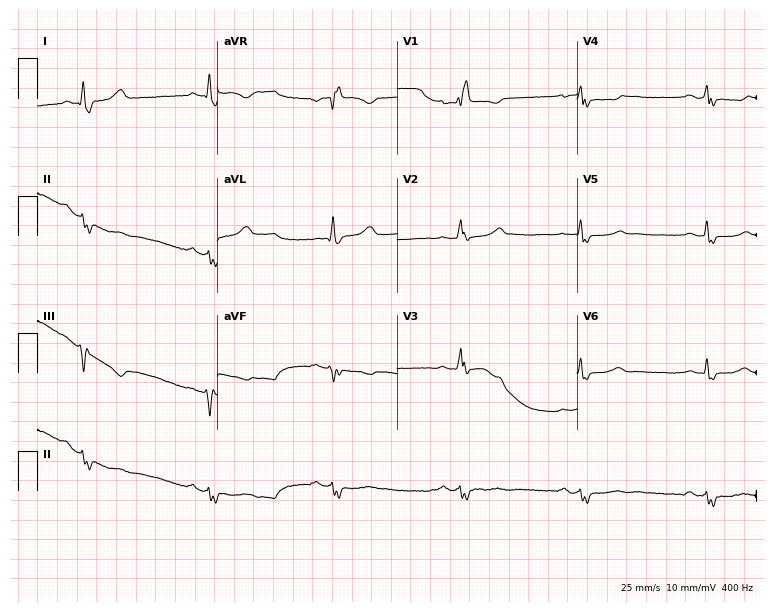
Electrocardiogram (7.3-second recording at 400 Hz), a 57-year-old female patient. Interpretation includes right bundle branch block.